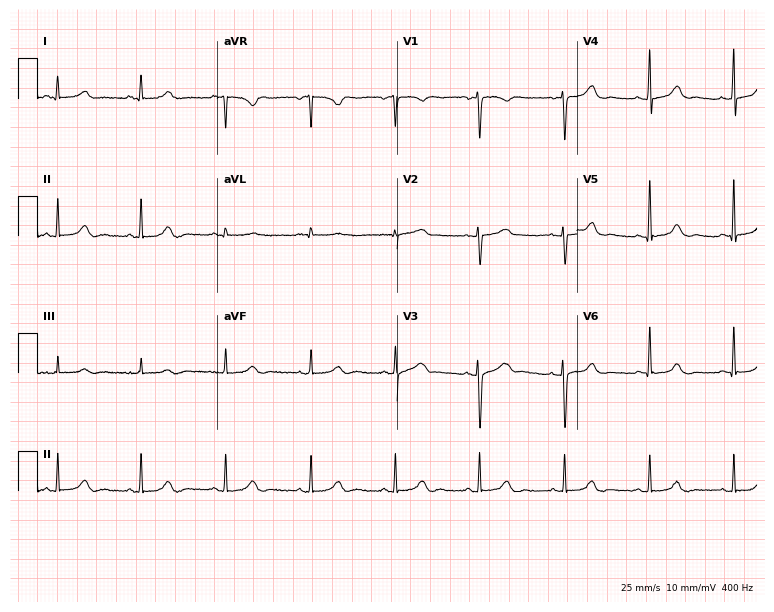
Standard 12-lead ECG recorded from a 48-year-old woman. None of these six findings is recorded: first-degree AV block, right bundle branch block, left bundle branch block, sinus bradycardia, atrial fibrillation, sinus tachycardia. Other findings, if any, are not listed.